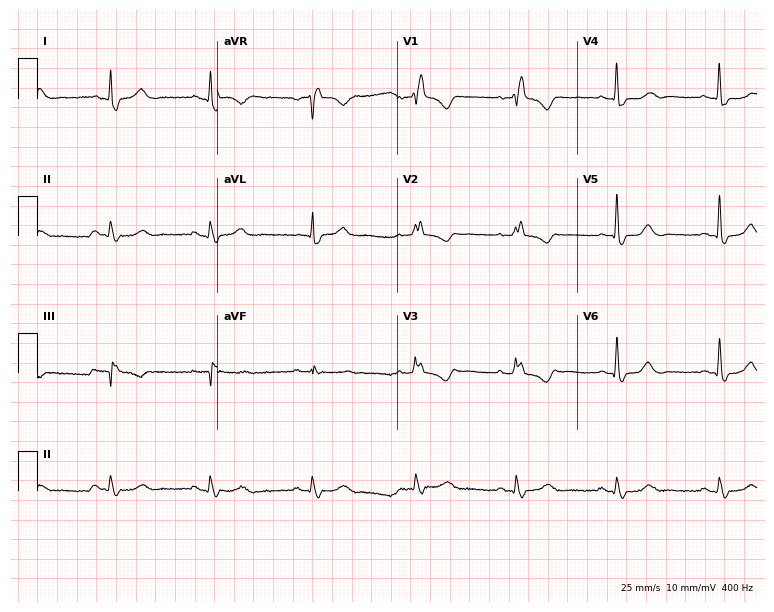
Electrocardiogram, a female, 84 years old. Interpretation includes right bundle branch block (RBBB).